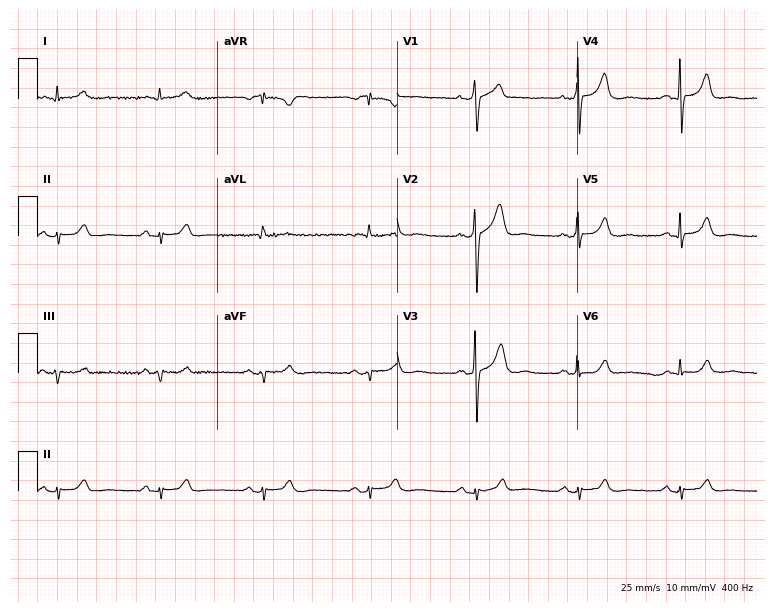
Electrocardiogram, a 70-year-old male patient. Overall reading on record: normal ECG.